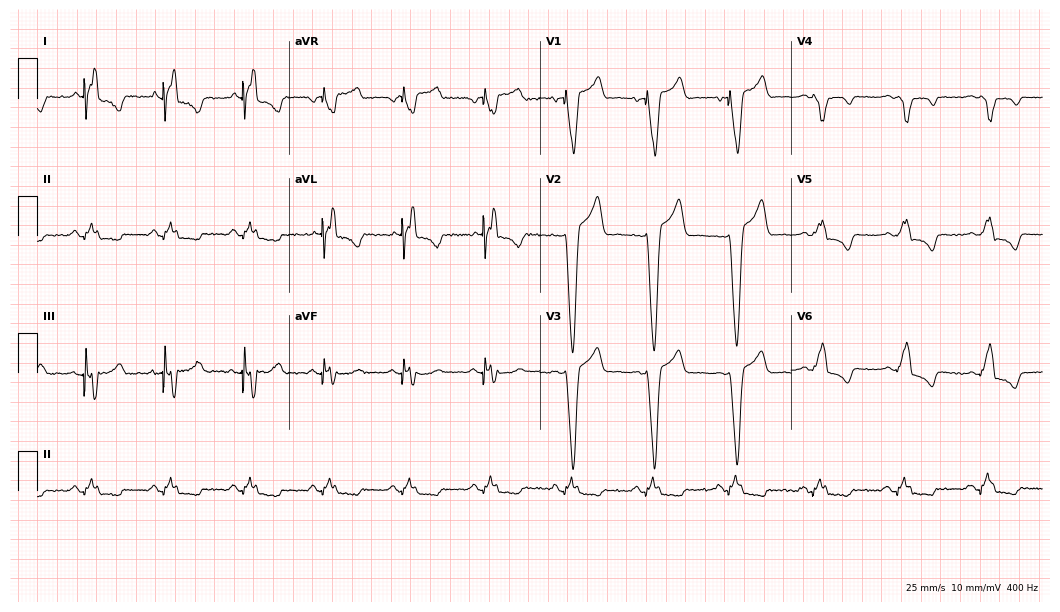
12-lead ECG (10.2-second recording at 400 Hz) from a 79-year-old male. Screened for six findings — first-degree AV block, right bundle branch block, left bundle branch block, sinus bradycardia, atrial fibrillation, sinus tachycardia — none is recorded. Findings outside these six are not listed.